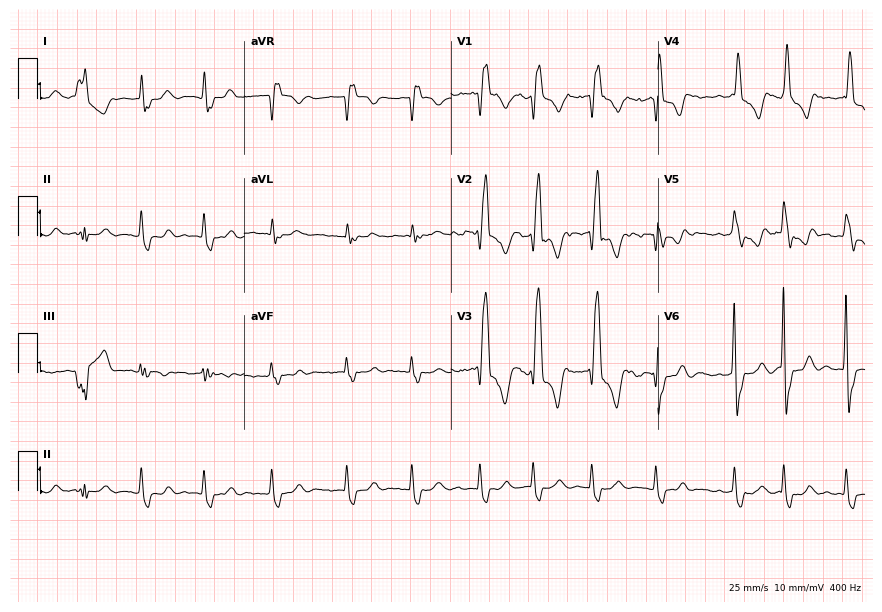
Electrocardiogram (8.4-second recording at 400 Hz), an 84-year-old woman. Interpretation includes right bundle branch block, atrial fibrillation.